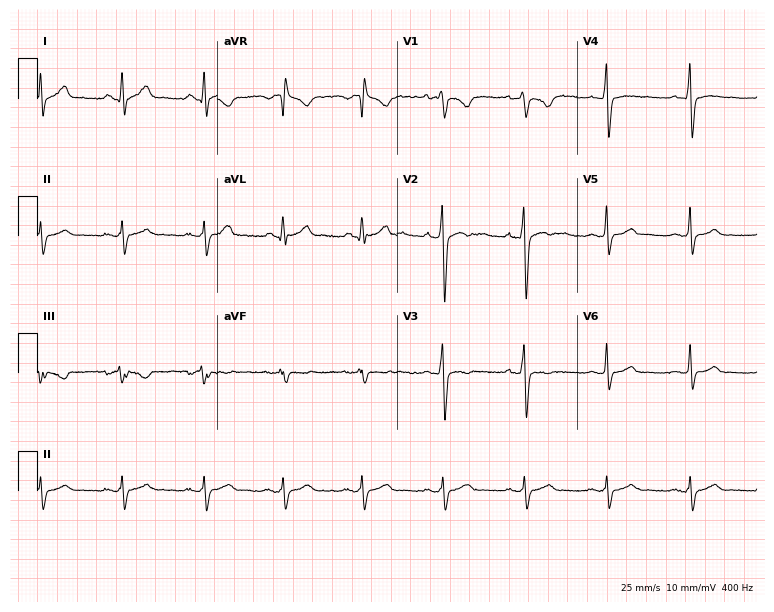
12-lead ECG from a 33-year-old male patient (7.3-second recording at 400 Hz). No first-degree AV block, right bundle branch block, left bundle branch block, sinus bradycardia, atrial fibrillation or sinus tachycardia recorded for this tracing. Only these six findings were labelled.